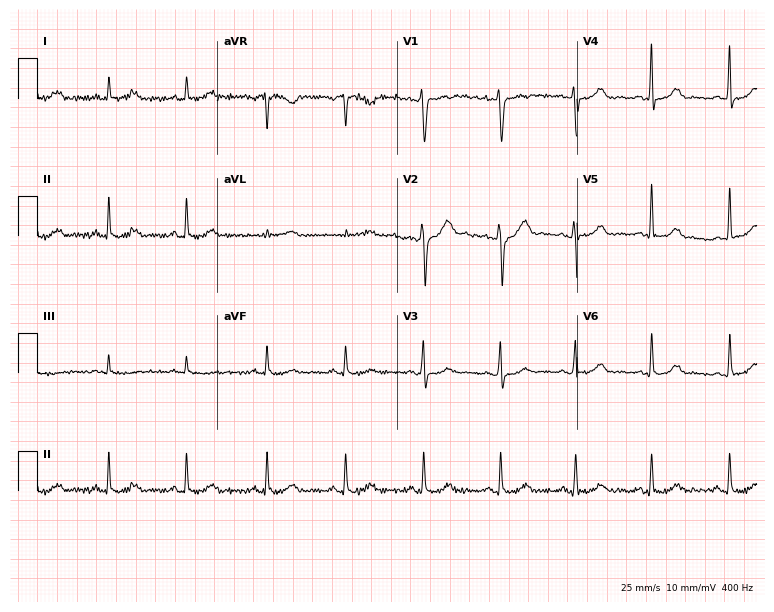
12-lead ECG (7.3-second recording at 400 Hz) from a 31-year-old woman. Screened for six findings — first-degree AV block, right bundle branch block, left bundle branch block, sinus bradycardia, atrial fibrillation, sinus tachycardia — none is recorded. Only these six findings were labelled.